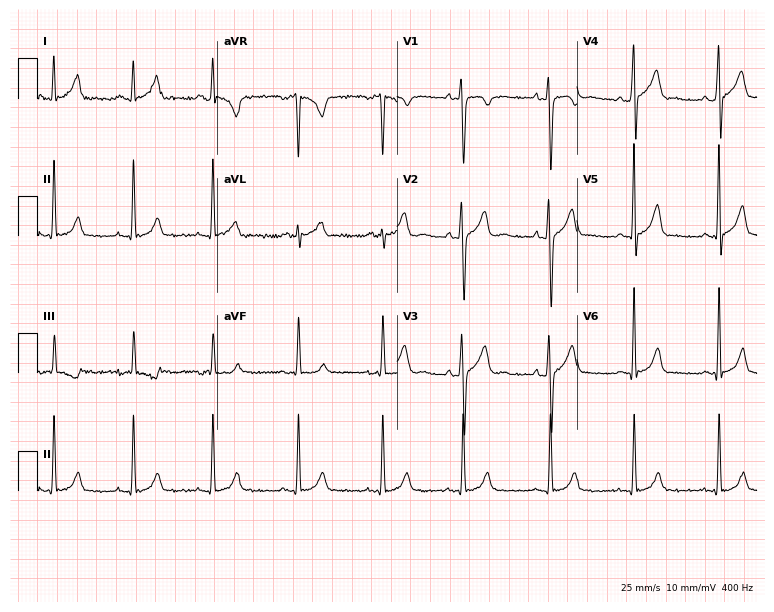
12-lead ECG from a 27-year-old man (7.3-second recording at 400 Hz). No first-degree AV block, right bundle branch block (RBBB), left bundle branch block (LBBB), sinus bradycardia, atrial fibrillation (AF) or sinus tachycardia recorded for this tracing.